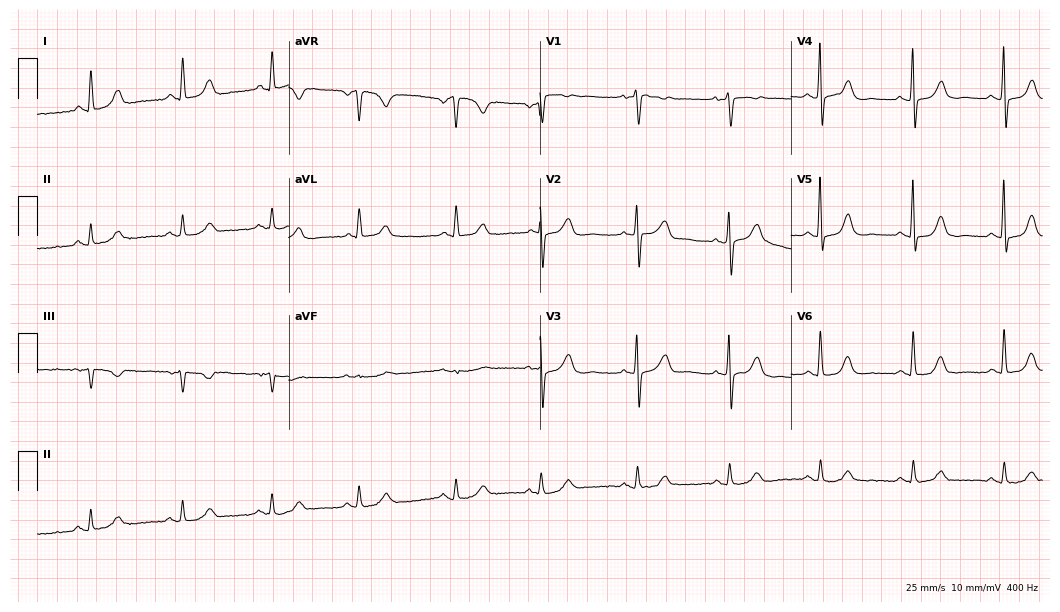
Resting 12-lead electrocardiogram. Patient: a 68-year-old female. Read as a normal ECG.